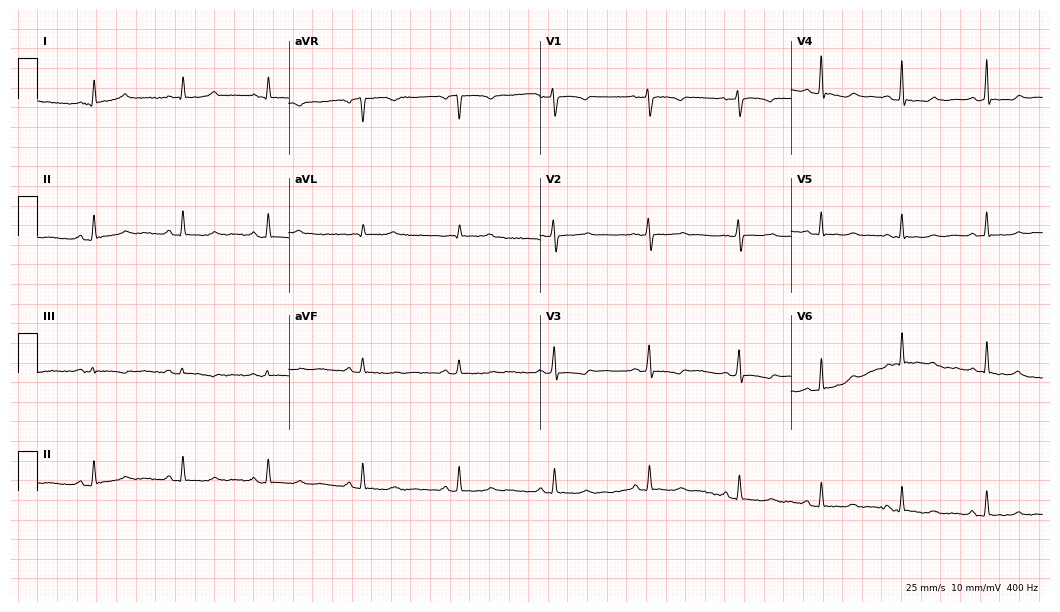
12-lead ECG from a 47-year-old female. Screened for six findings — first-degree AV block, right bundle branch block, left bundle branch block, sinus bradycardia, atrial fibrillation, sinus tachycardia — none is recorded.